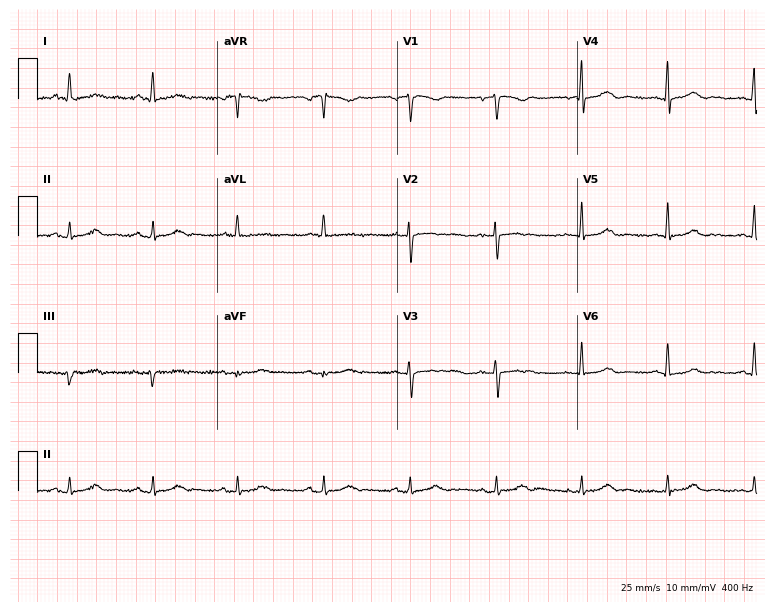
Electrocardiogram, a 55-year-old woman. Overall reading on record: normal ECG.